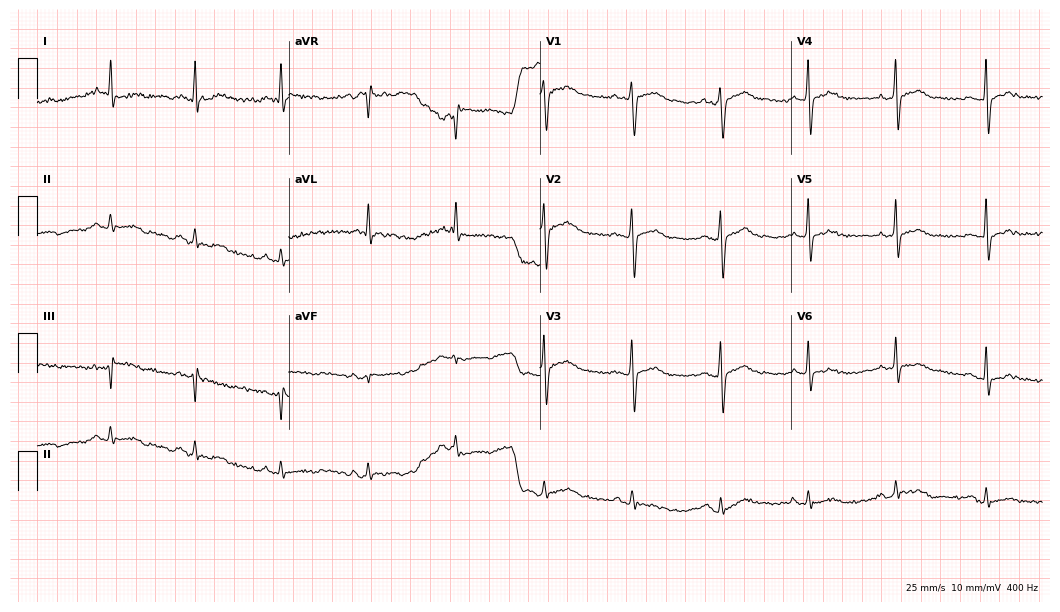
Electrocardiogram (10.2-second recording at 400 Hz), a man, 36 years old. Of the six screened findings (first-degree AV block, right bundle branch block (RBBB), left bundle branch block (LBBB), sinus bradycardia, atrial fibrillation (AF), sinus tachycardia), none is recorded.